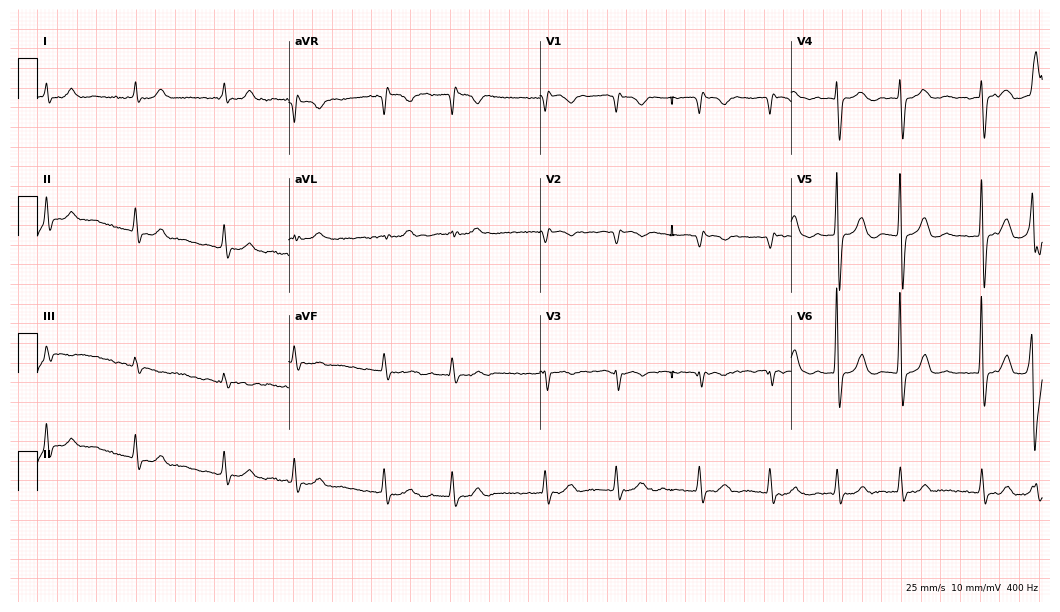
ECG — a male patient, 83 years old. Findings include atrial fibrillation.